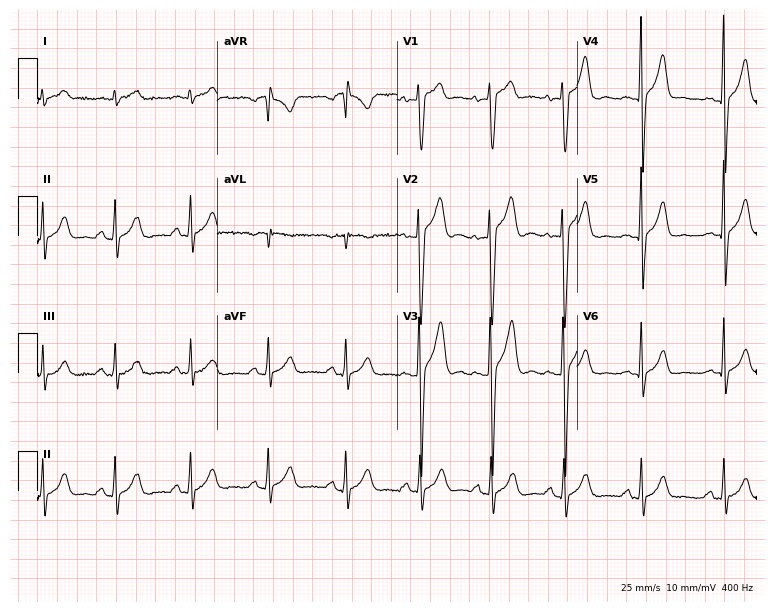
Standard 12-lead ECG recorded from a male, 19 years old. None of these six findings is recorded: first-degree AV block, right bundle branch block, left bundle branch block, sinus bradycardia, atrial fibrillation, sinus tachycardia.